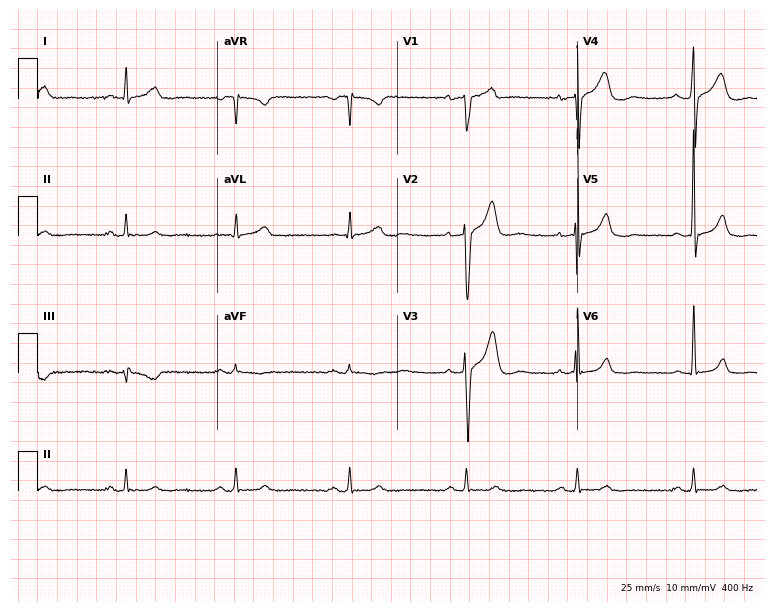
ECG (7.3-second recording at 400 Hz) — a 40-year-old man. Labelled as a normal ECG.